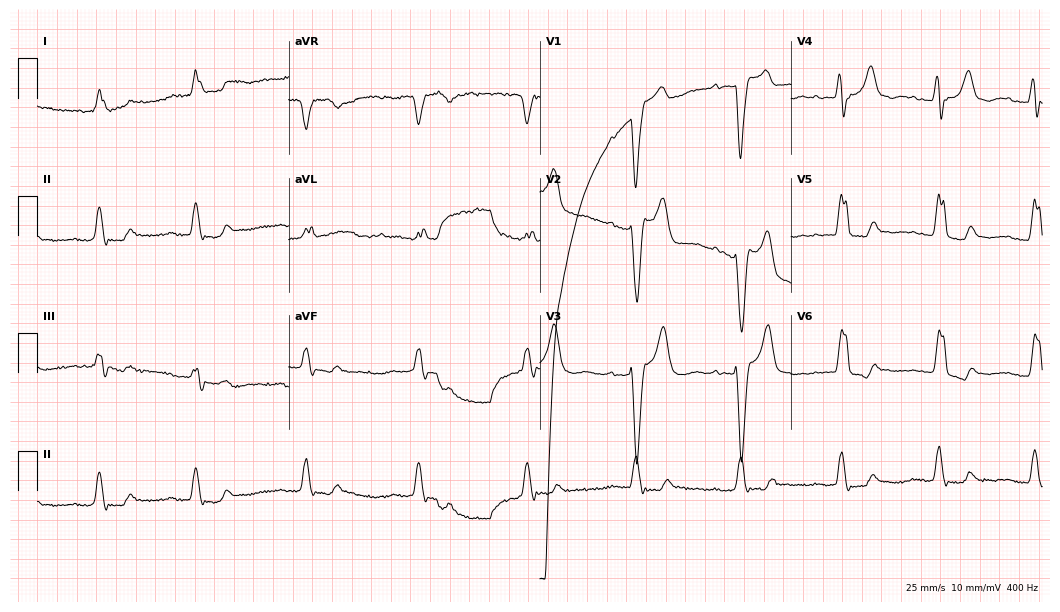
ECG — a woman, 81 years old. Findings include first-degree AV block, left bundle branch block (LBBB).